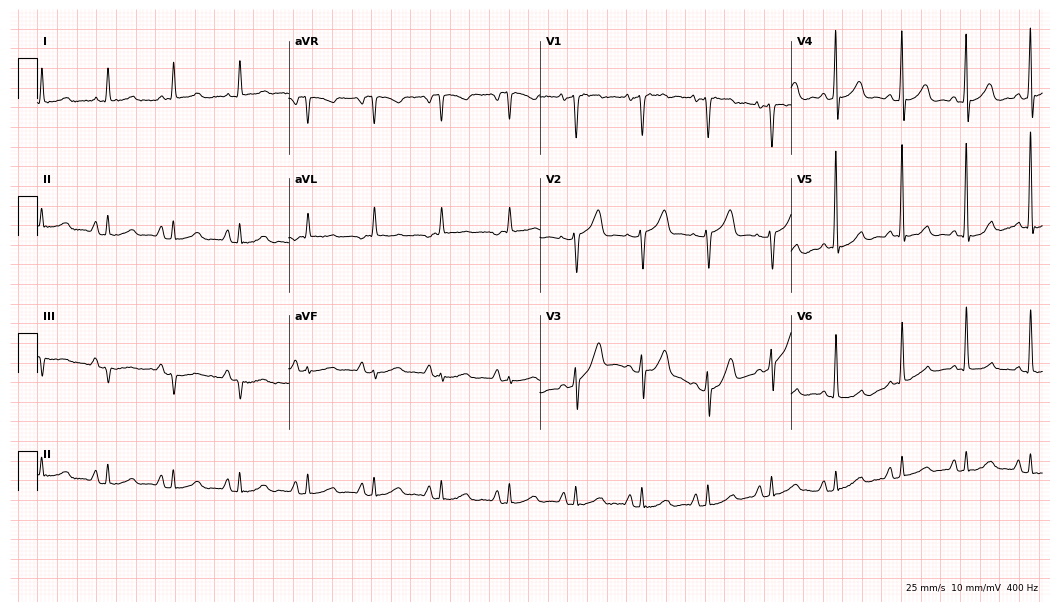
12-lead ECG from a female, 79 years old. No first-degree AV block, right bundle branch block, left bundle branch block, sinus bradycardia, atrial fibrillation or sinus tachycardia recorded for this tracing. Findings outside these six are not listed.